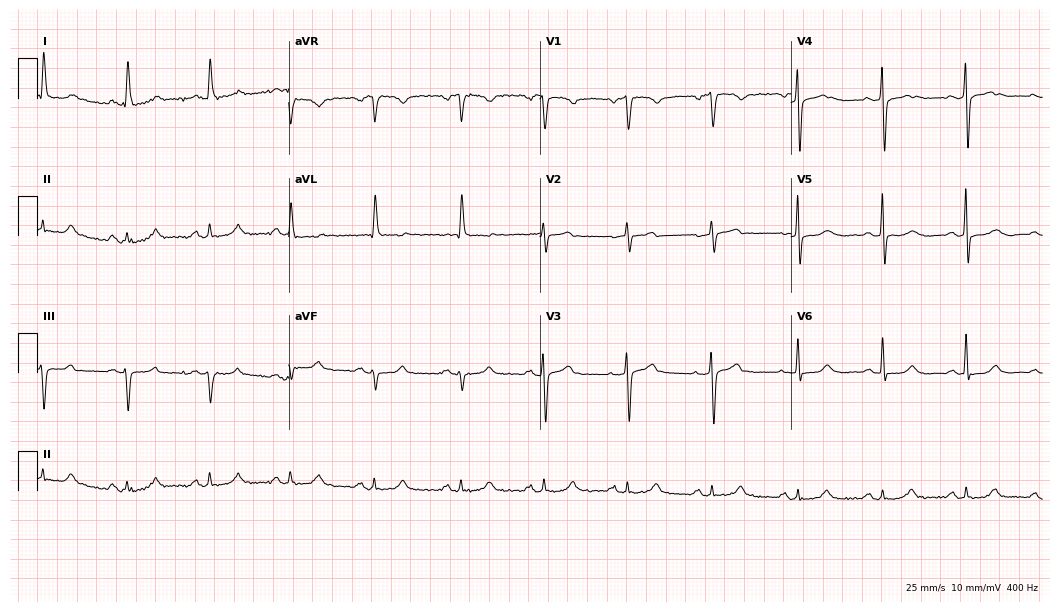
ECG (10.2-second recording at 400 Hz) — a 68-year-old woman. Screened for six findings — first-degree AV block, right bundle branch block, left bundle branch block, sinus bradycardia, atrial fibrillation, sinus tachycardia — none is recorded. Findings outside these six are not listed.